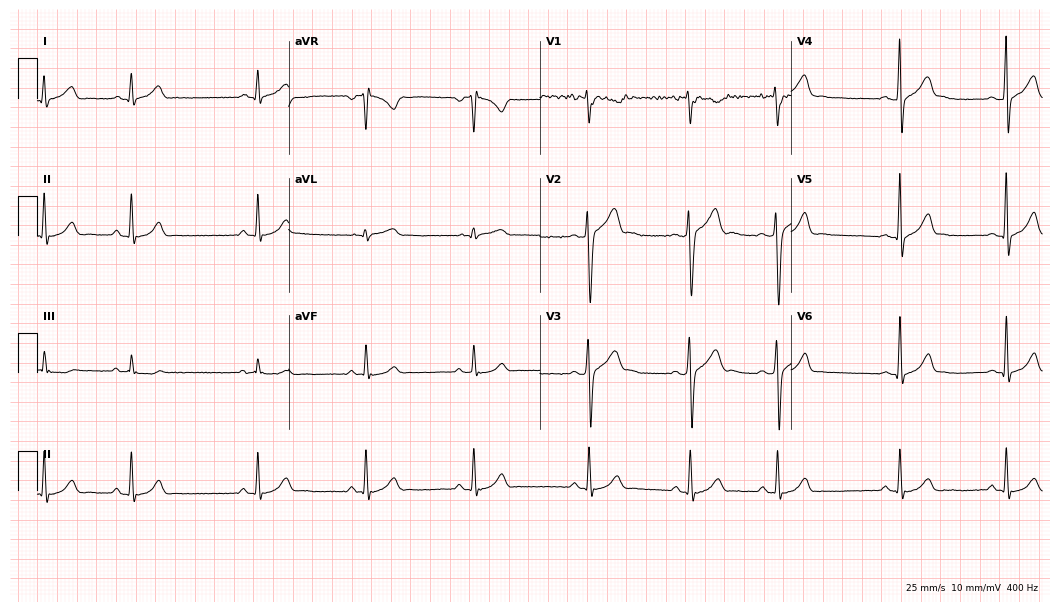
ECG — a 21-year-old male. Labelled as a normal ECG.